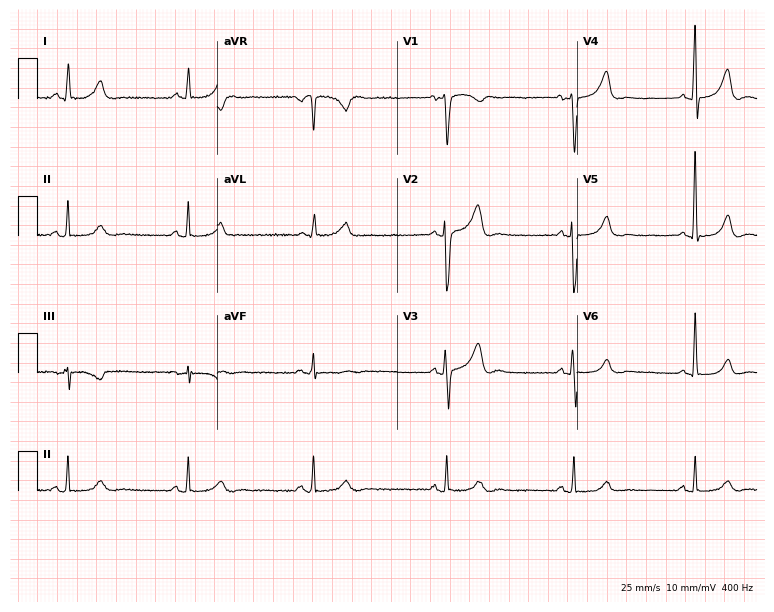
Electrocardiogram, a male patient, 59 years old. Interpretation includes sinus bradycardia (a sinus rate of 50 beats per minute or less).